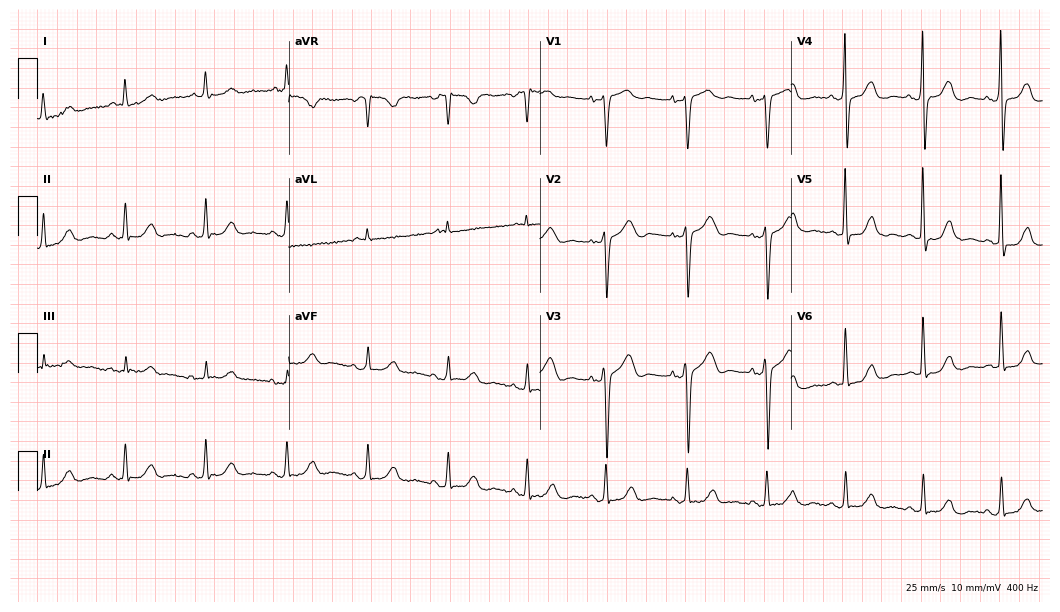
12-lead ECG from a 79-year-old female. Screened for six findings — first-degree AV block, right bundle branch block, left bundle branch block, sinus bradycardia, atrial fibrillation, sinus tachycardia — none is recorded. Findings outside these six are not listed.